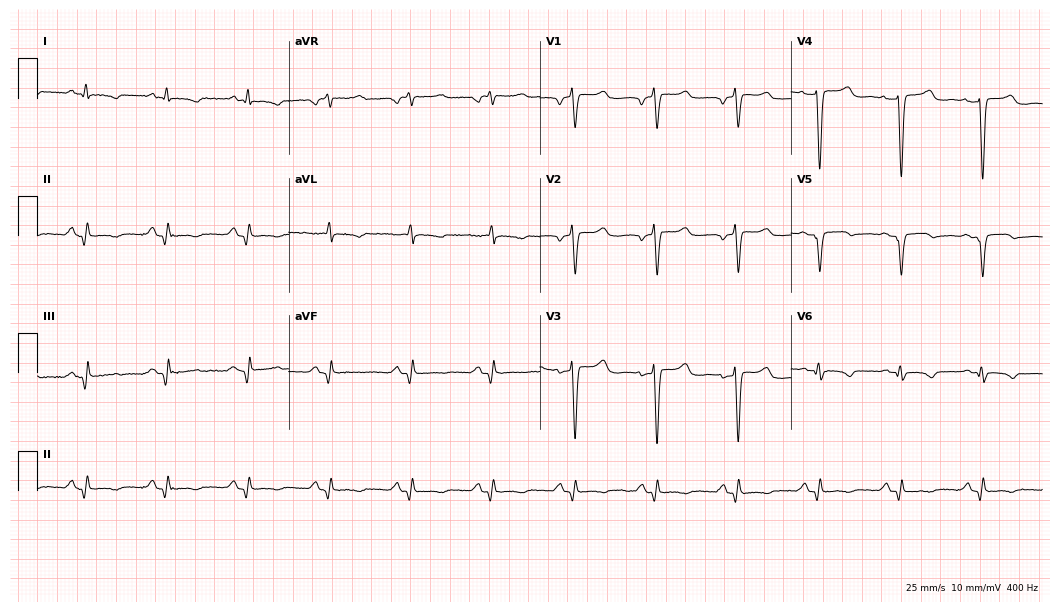
Electrocardiogram (10.2-second recording at 400 Hz), a 67-year-old male. Of the six screened findings (first-degree AV block, right bundle branch block, left bundle branch block, sinus bradycardia, atrial fibrillation, sinus tachycardia), none is recorded.